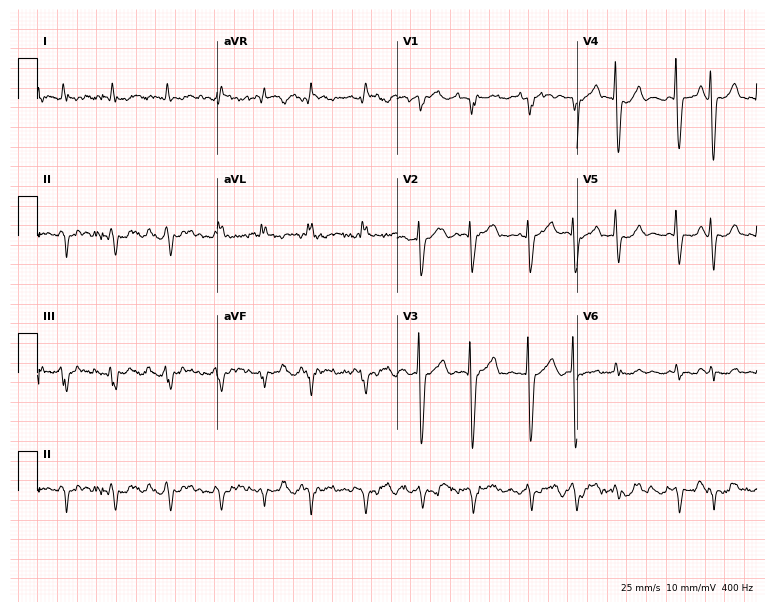
Electrocardiogram, a female, 72 years old. Interpretation includes atrial fibrillation (AF).